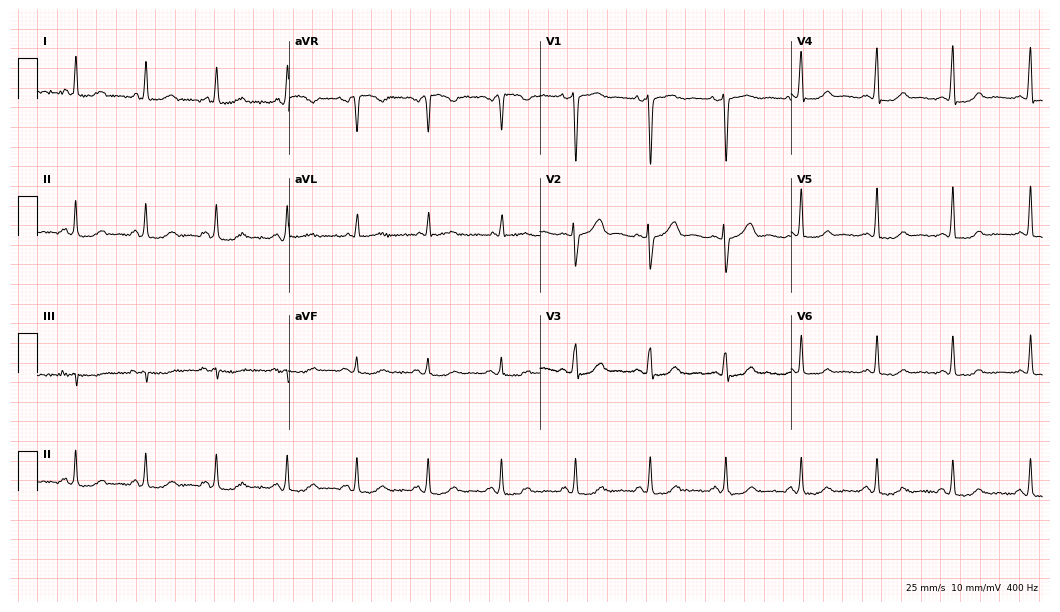
ECG — a 53-year-old female patient. Labelled as a normal ECG.